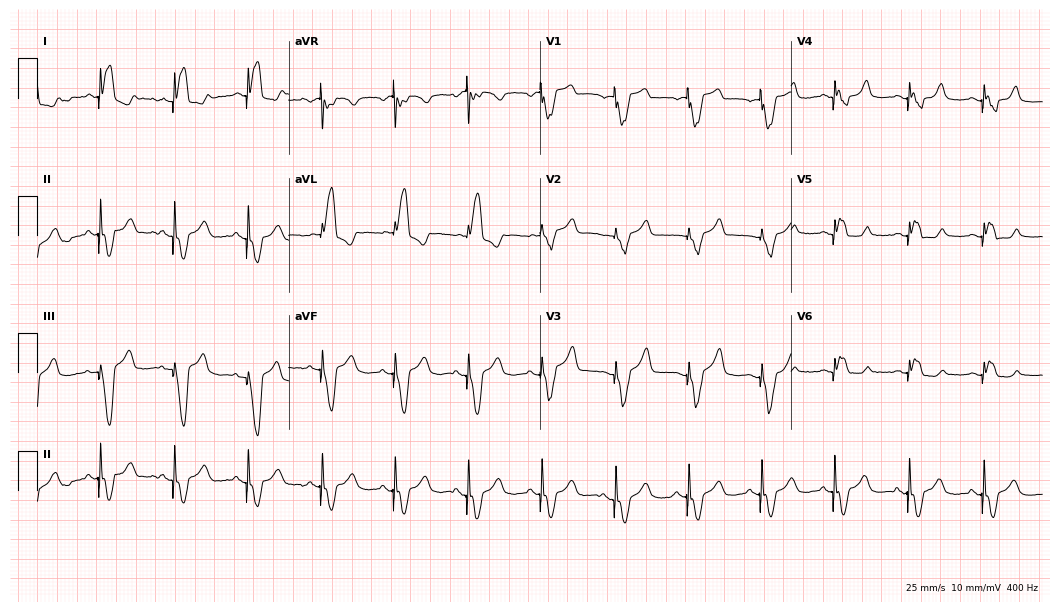
12-lead ECG from a woman, 82 years old. No first-degree AV block, right bundle branch block (RBBB), left bundle branch block (LBBB), sinus bradycardia, atrial fibrillation (AF) or sinus tachycardia recorded for this tracing. Other findings, if any, are not listed.